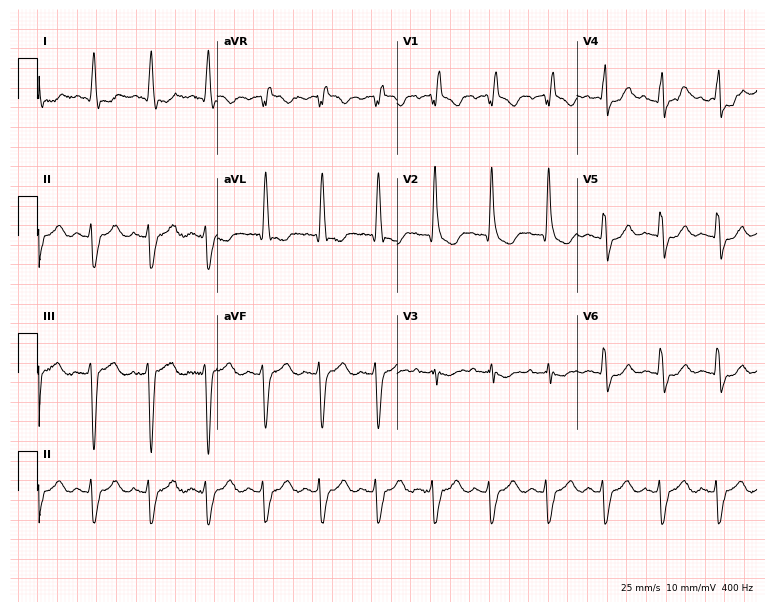
Resting 12-lead electrocardiogram. Patient: a male, 82 years old. The tracing shows right bundle branch block.